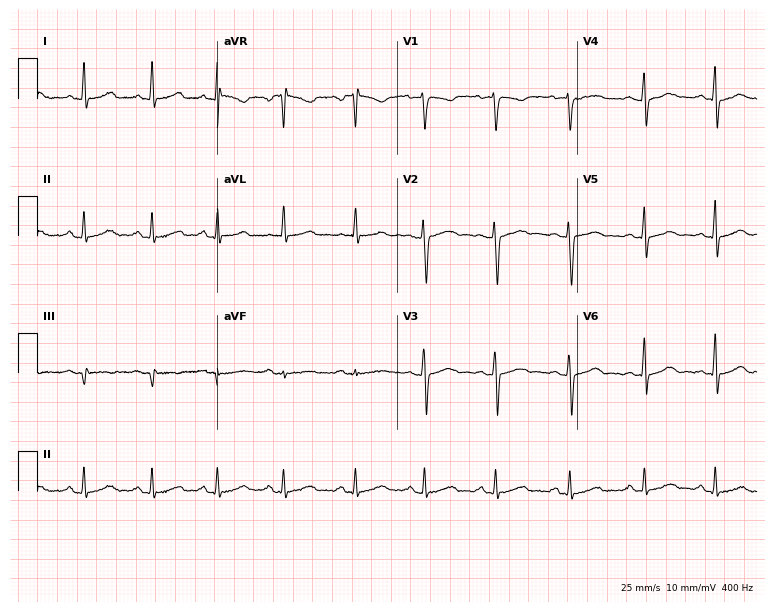
Electrocardiogram, a female, 31 years old. Overall reading on record: normal ECG.